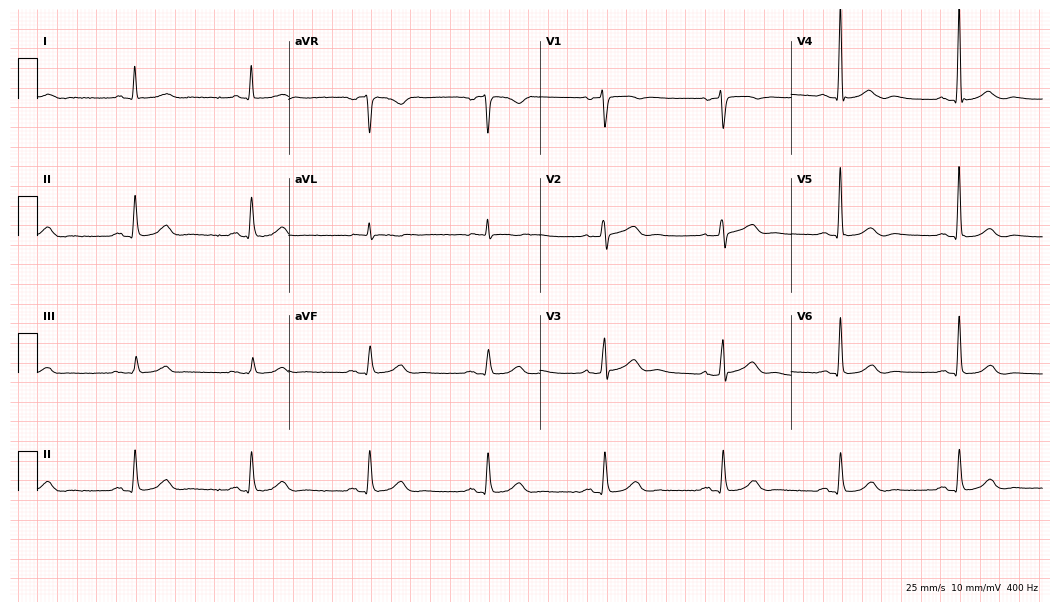
ECG — an 83-year-old male. Screened for six findings — first-degree AV block, right bundle branch block (RBBB), left bundle branch block (LBBB), sinus bradycardia, atrial fibrillation (AF), sinus tachycardia — none is recorded. Other findings, if any, are not listed.